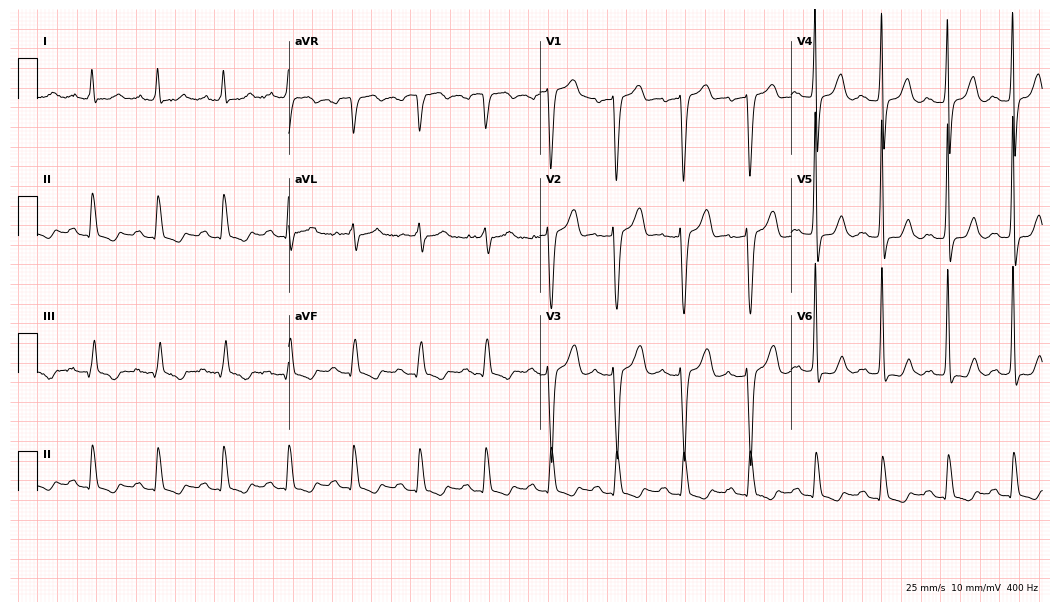
12-lead ECG from a 62-year-old female. Screened for six findings — first-degree AV block, right bundle branch block, left bundle branch block, sinus bradycardia, atrial fibrillation, sinus tachycardia — none is recorded. Findings outside these six are not listed.